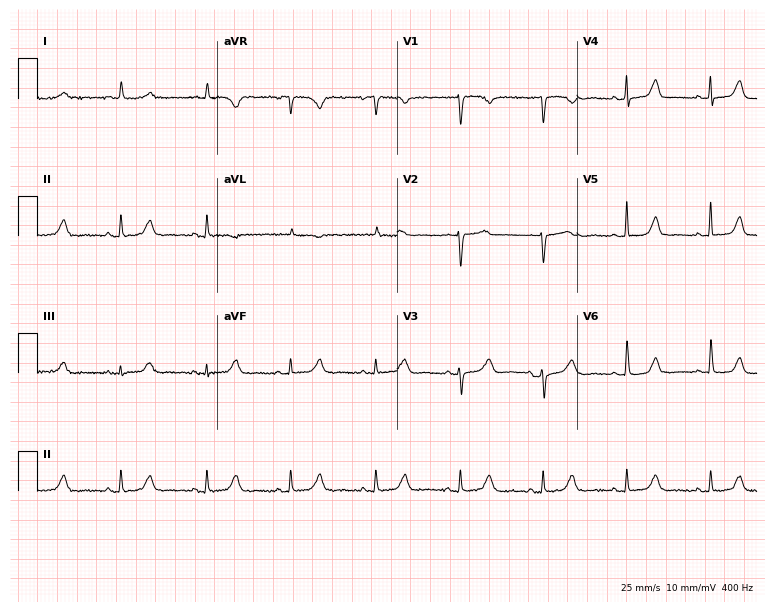
ECG — a woman, 83 years old. Labelled as a normal ECG.